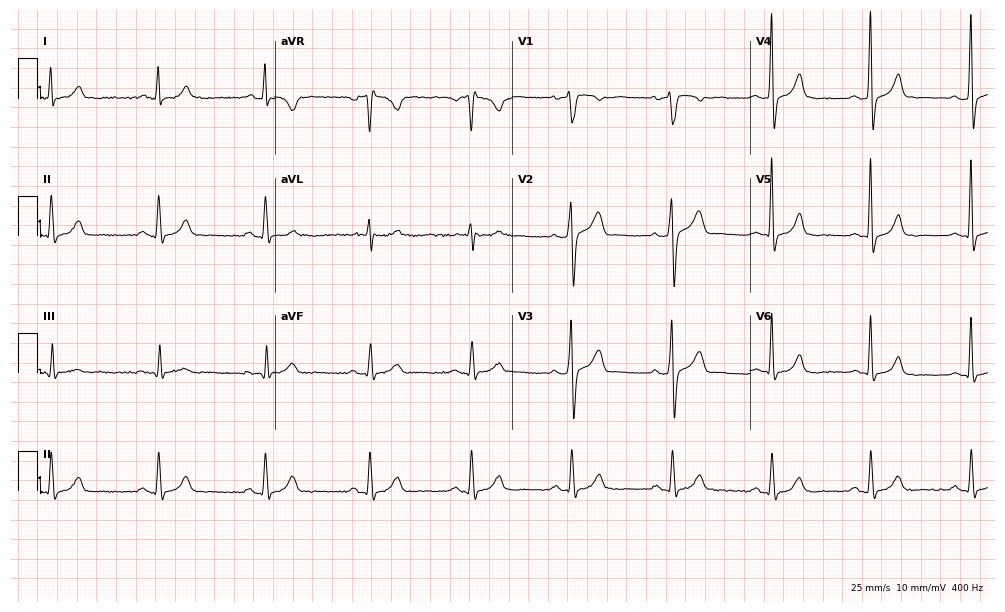
Resting 12-lead electrocardiogram. Patient: a male, 55 years old. None of these six findings is recorded: first-degree AV block, right bundle branch block (RBBB), left bundle branch block (LBBB), sinus bradycardia, atrial fibrillation (AF), sinus tachycardia. Other findings, if any, are not listed.